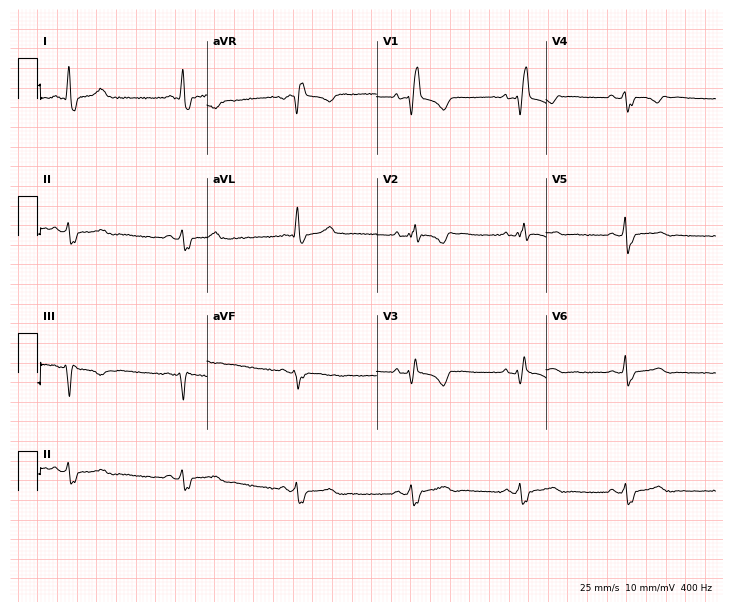
Standard 12-lead ECG recorded from a female, 49 years old (6.9-second recording at 400 Hz). None of these six findings is recorded: first-degree AV block, right bundle branch block, left bundle branch block, sinus bradycardia, atrial fibrillation, sinus tachycardia. Findings outside these six are not listed.